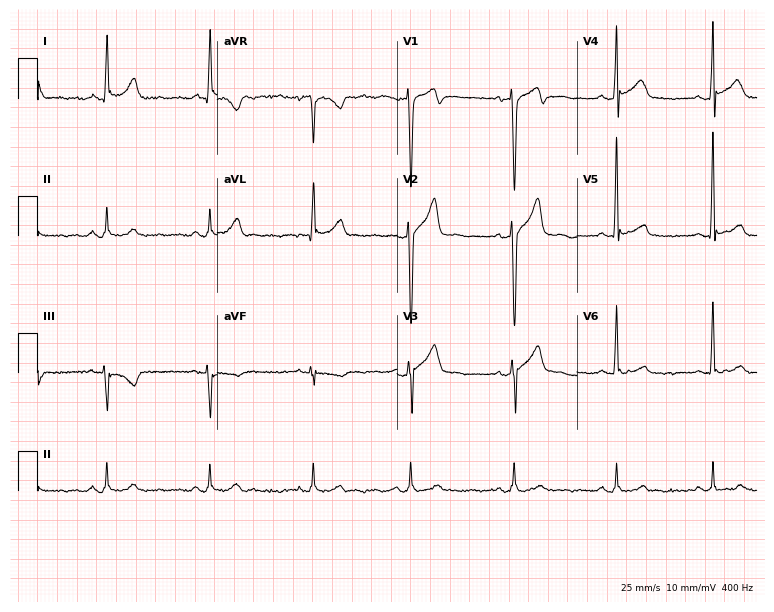
Resting 12-lead electrocardiogram (7.3-second recording at 400 Hz). Patient: a man, 39 years old. None of these six findings is recorded: first-degree AV block, right bundle branch block, left bundle branch block, sinus bradycardia, atrial fibrillation, sinus tachycardia. Findings outside these six are not listed.